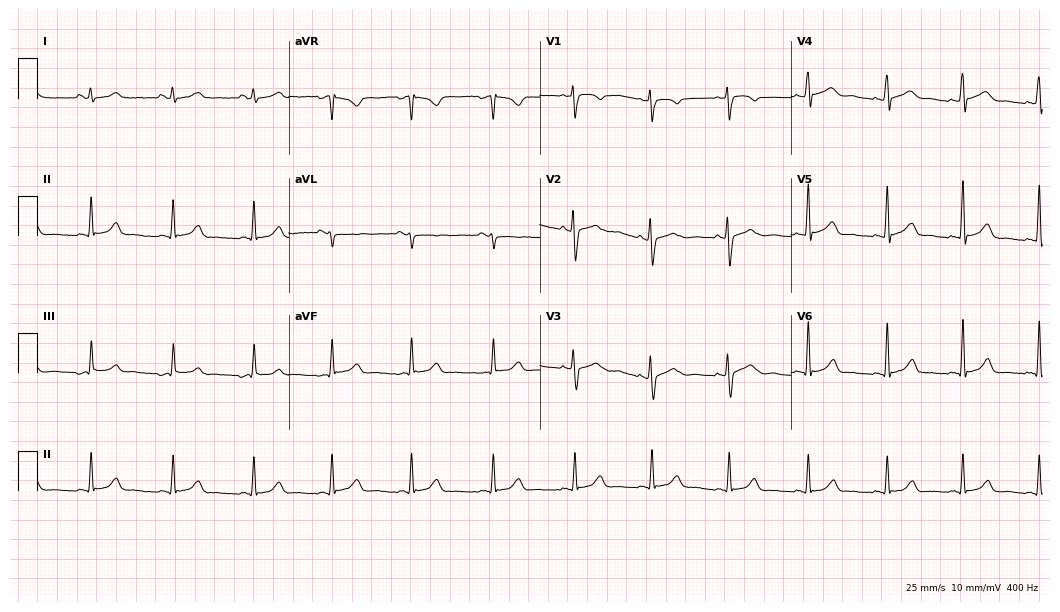
12-lead ECG from a 25-year-old woman. Screened for six findings — first-degree AV block, right bundle branch block (RBBB), left bundle branch block (LBBB), sinus bradycardia, atrial fibrillation (AF), sinus tachycardia — none is recorded. Only these six findings were labelled.